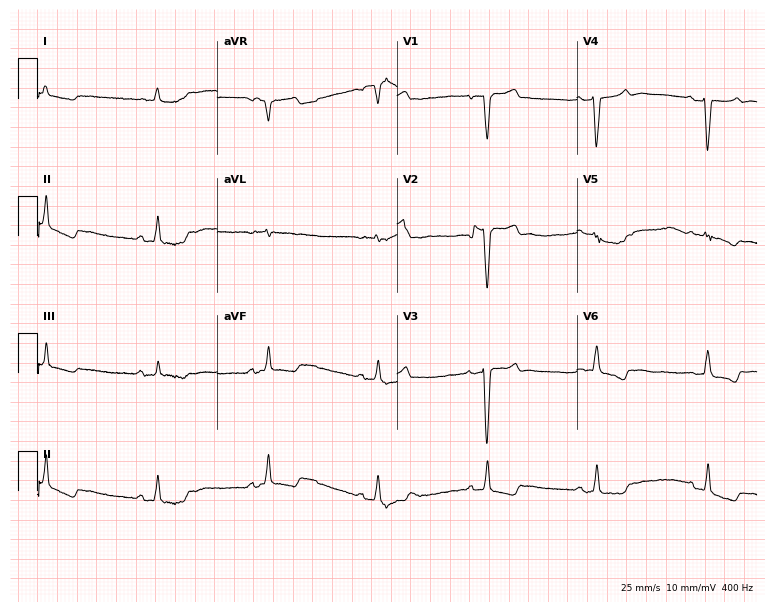
12-lead ECG from a woman, 80 years old. No first-degree AV block, right bundle branch block (RBBB), left bundle branch block (LBBB), sinus bradycardia, atrial fibrillation (AF) or sinus tachycardia recorded for this tracing.